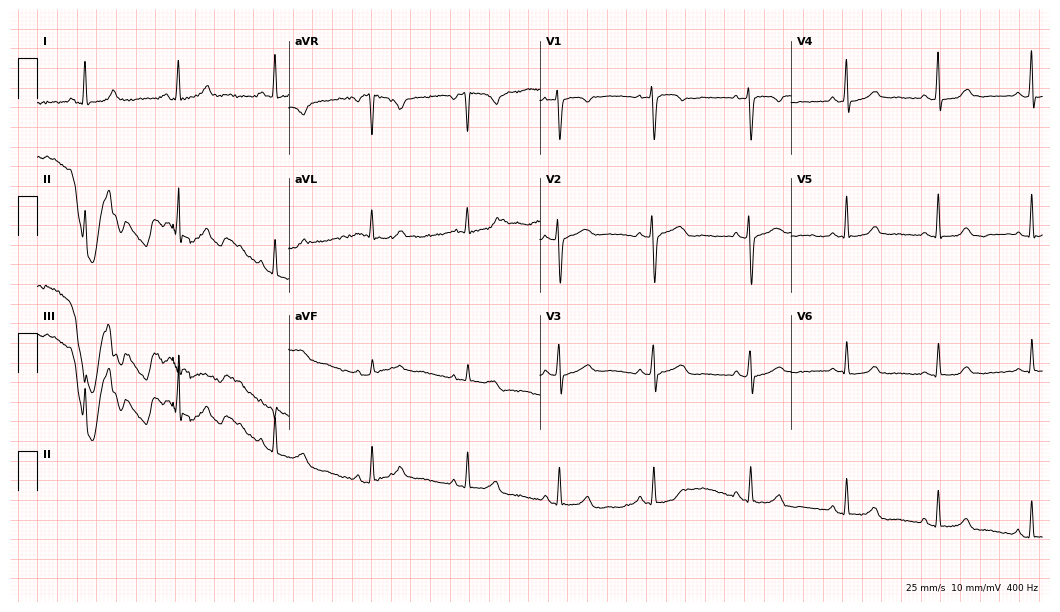
Electrocardiogram (10.2-second recording at 400 Hz), a 45-year-old female. Of the six screened findings (first-degree AV block, right bundle branch block, left bundle branch block, sinus bradycardia, atrial fibrillation, sinus tachycardia), none is recorded. Only these six findings were labelled.